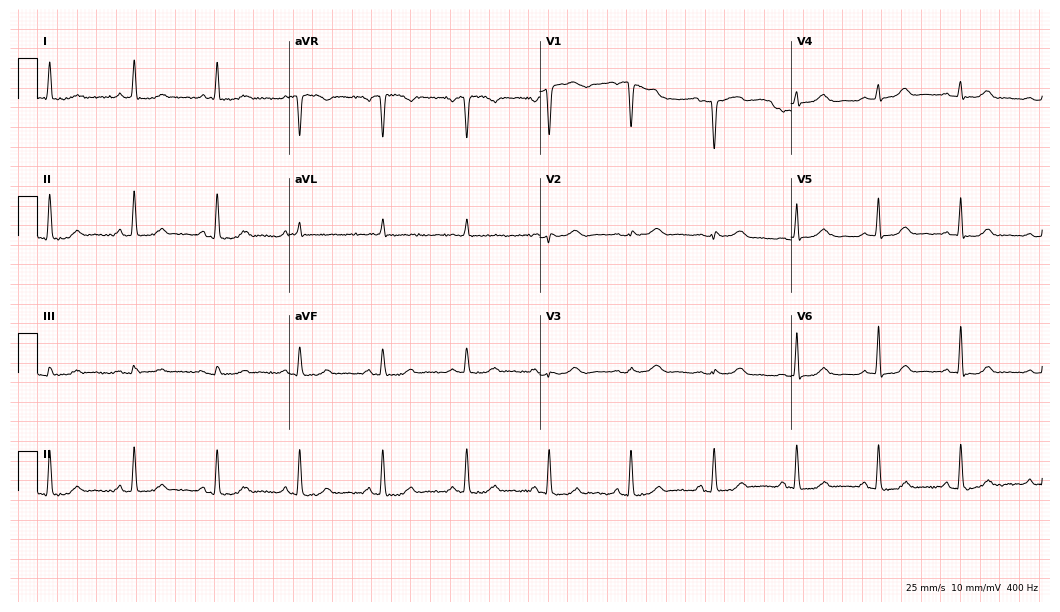
Standard 12-lead ECG recorded from a 74-year-old woman. None of these six findings is recorded: first-degree AV block, right bundle branch block (RBBB), left bundle branch block (LBBB), sinus bradycardia, atrial fibrillation (AF), sinus tachycardia. Other findings, if any, are not listed.